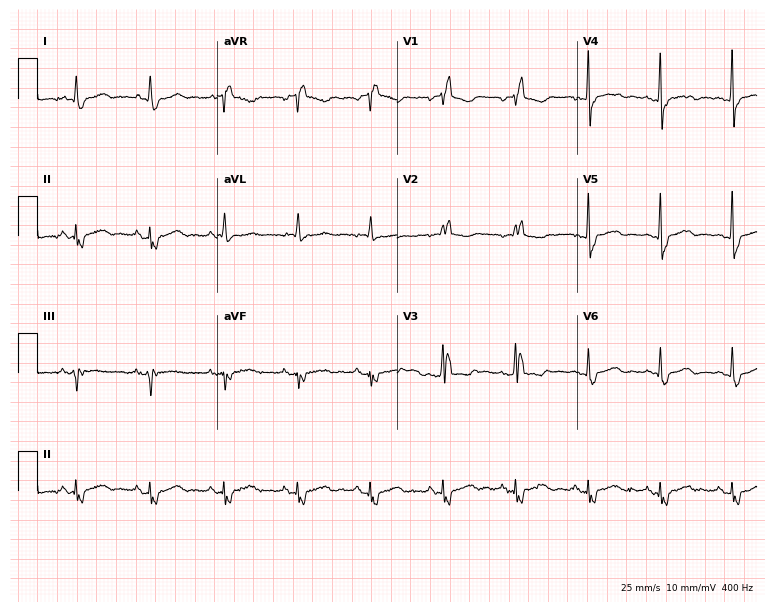
Standard 12-lead ECG recorded from a female patient, 63 years old (7.3-second recording at 400 Hz). None of these six findings is recorded: first-degree AV block, right bundle branch block (RBBB), left bundle branch block (LBBB), sinus bradycardia, atrial fibrillation (AF), sinus tachycardia.